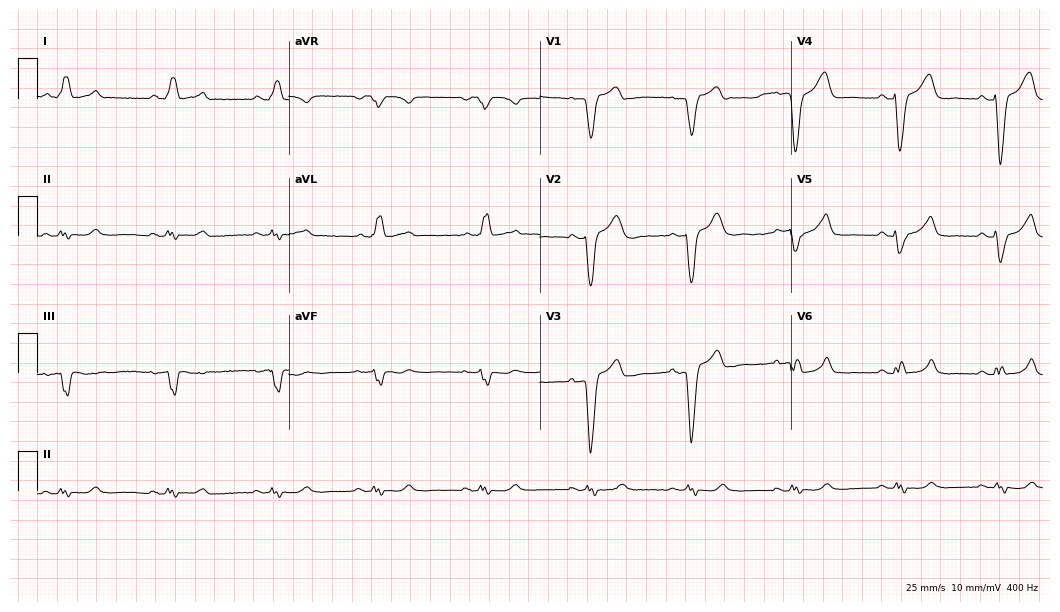
12-lead ECG from a male patient, 79 years old (10.2-second recording at 400 Hz). Shows left bundle branch block.